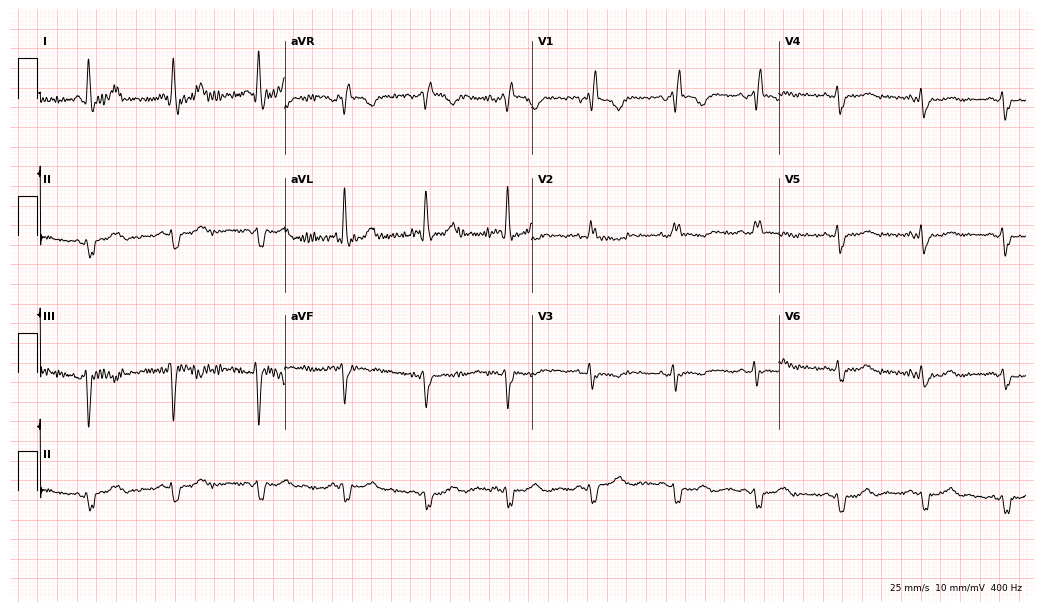
Electrocardiogram, a 57-year-old female. Of the six screened findings (first-degree AV block, right bundle branch block, left bundle branch block, sinus bradycardia, atrial fibrillation, sinus tachycardia), none is recorded. Findings outside these six are not listed.